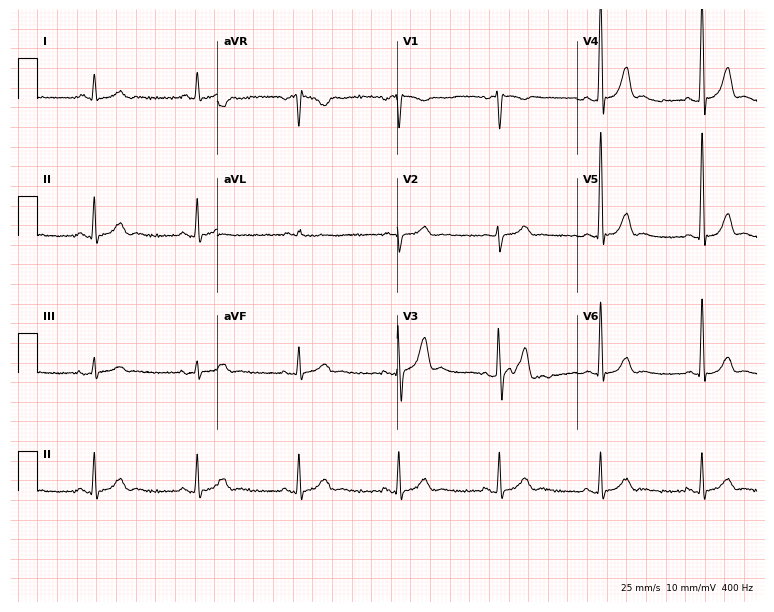
Electrocardiogram, a 52-year-old male patient. Overall reading on record: normal ECG.